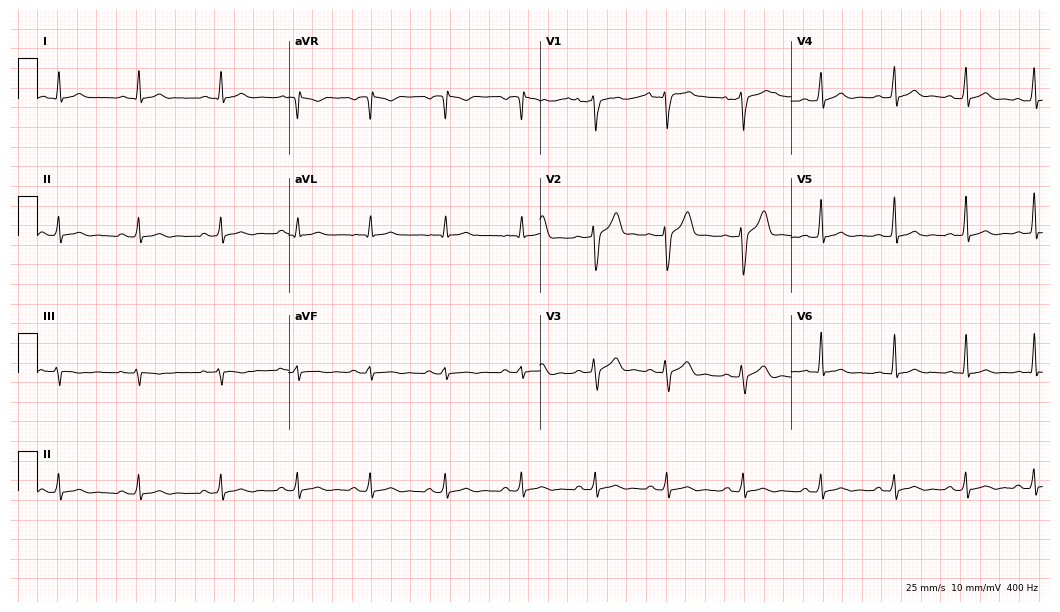
Electrocardiogram (10.2-second recording at 400 Hz), a 29-year-old male. Of the six screened findings (first-degree AV block, right bundle branch block, left bundle branch block, sinus bradycardia, atrial fibrillation, sinus tachycardia), none is recorded. Only these six findings were labelled.